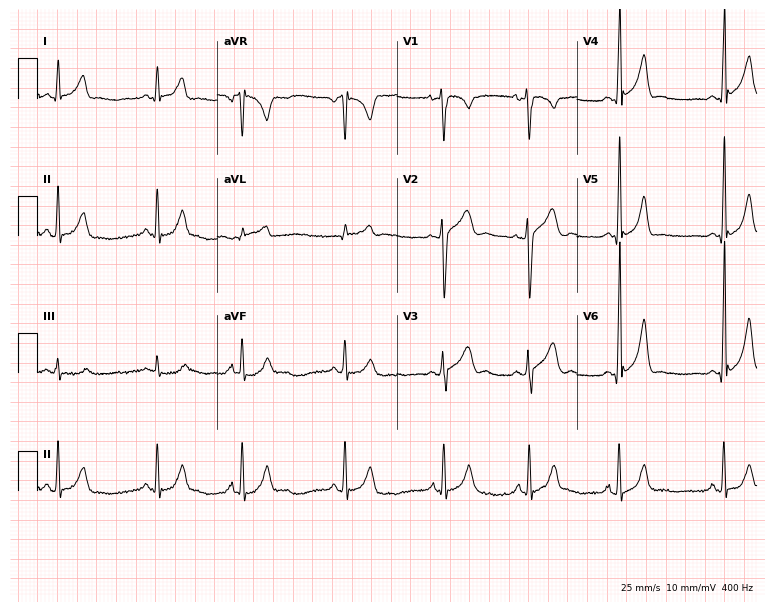
Standard 12-lead ECG recorded from an 18-year-old male patient (7.3-second recording at 400 Hz). None of these six findings is recorded: first-degree AV block, right bundle branch block (RBBB), left bundle branch block (LBBB), sinus bradycardia, atrial fibrillation (AF), sinus tachycardia. Findings outside these six are not listed.